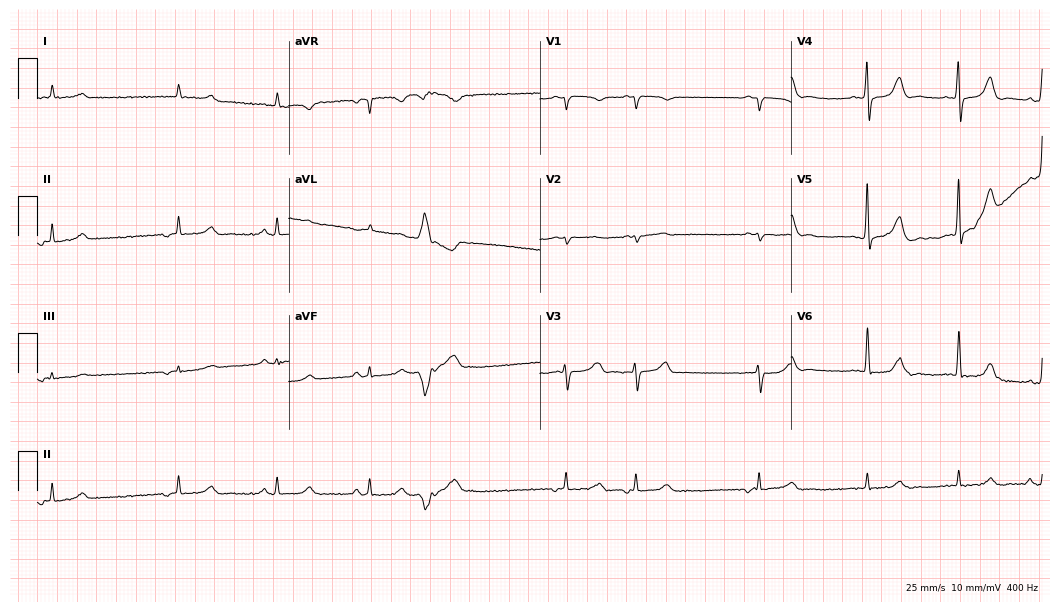
12-lead ECG from an 84-year-old male (10.2-second recording at 400 Hz). No first-degree AV block, right bundle branch block, left bundle branch block, sinus bradycardia, atrial fibrillation or sinus tachycardia recorded for this tracing.